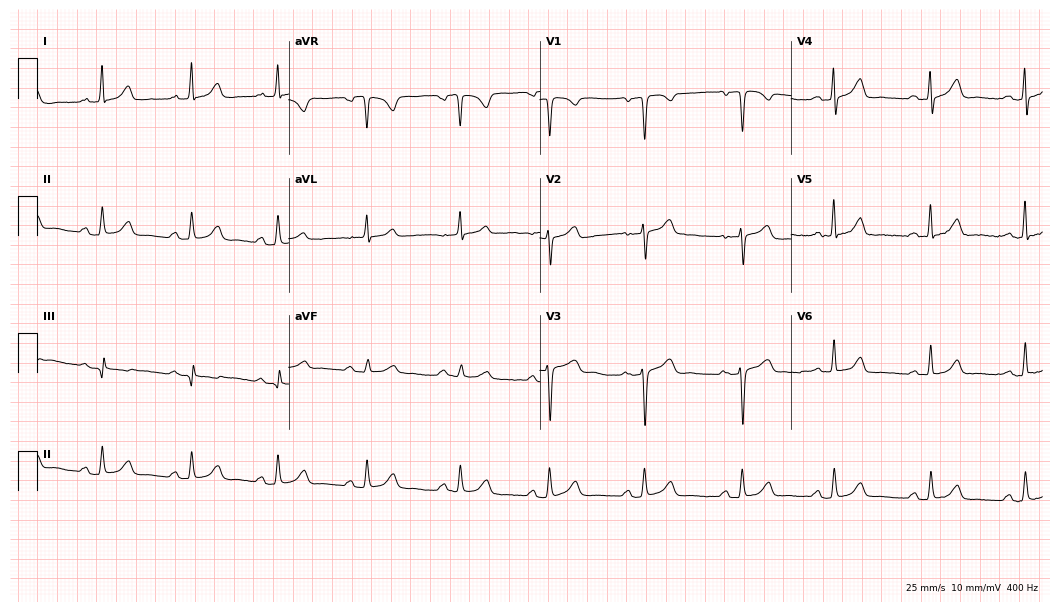
ECG (10.2-second recording at 400 Hz) — a female, 49 years old. Labelled as a normal ECG.